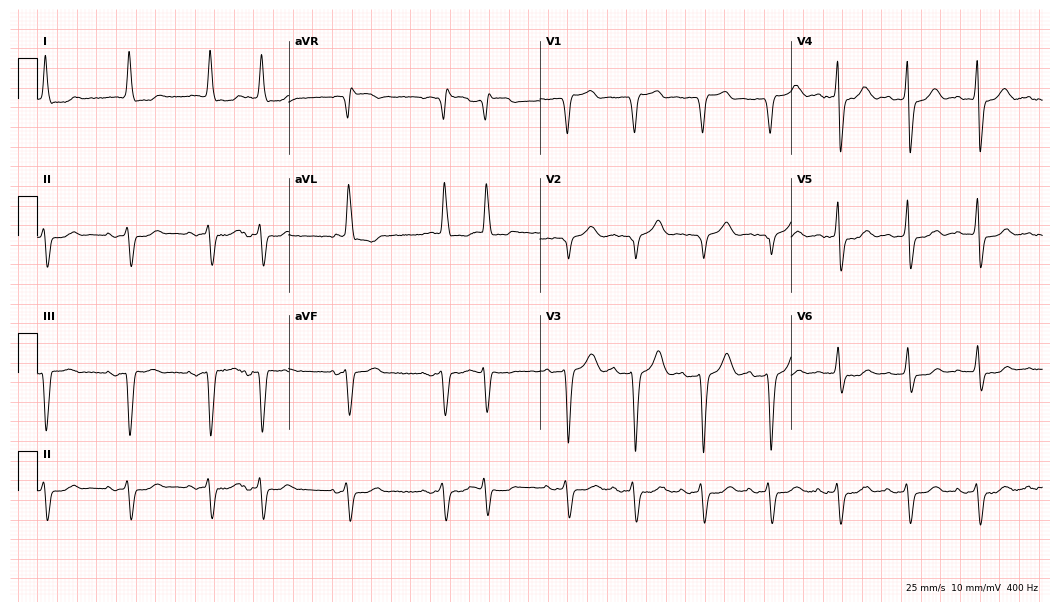
Electrocardiogram, a man, 84 years old. Of the six screened findings (first-degree AV block, right bundle branch block, left bundle branch block, sinus bradycardia, atrial fibrillation, sinus tachycardia), none is recorded. Findings outside these six are not listed.